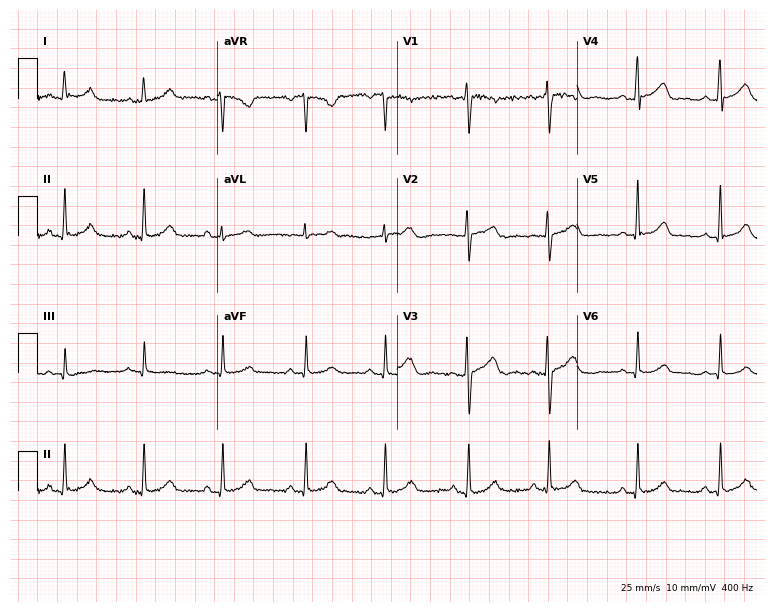
Resting 12-lead electrocardiogram. Patient: a female, 38 years old. None of these six findings is recorded: first-degree AV block, right bundle branch block (RBBB), left bundle branch block (LBBB), sinus bradycardia, atrial fibrillation (AF), sinus tachycardia. Only these six findings were labelled.